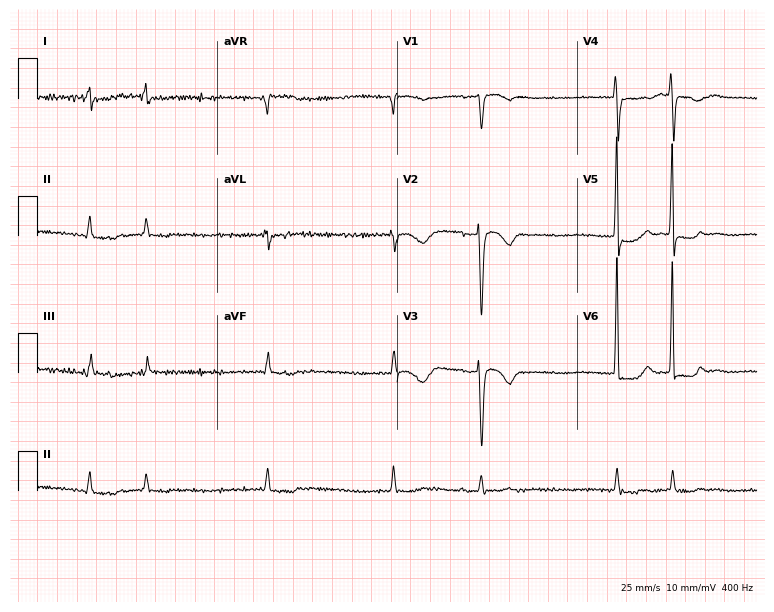
Resting 12-lead electrocardiogram. Patient: a 78-year-old female. None of these six findings is recorded: first-degree AV block, right bundle branch block, left bundle branch block, sinus bradycardia, atrial fibrillation, sinus tachycardia. Only these six findings were labelled.